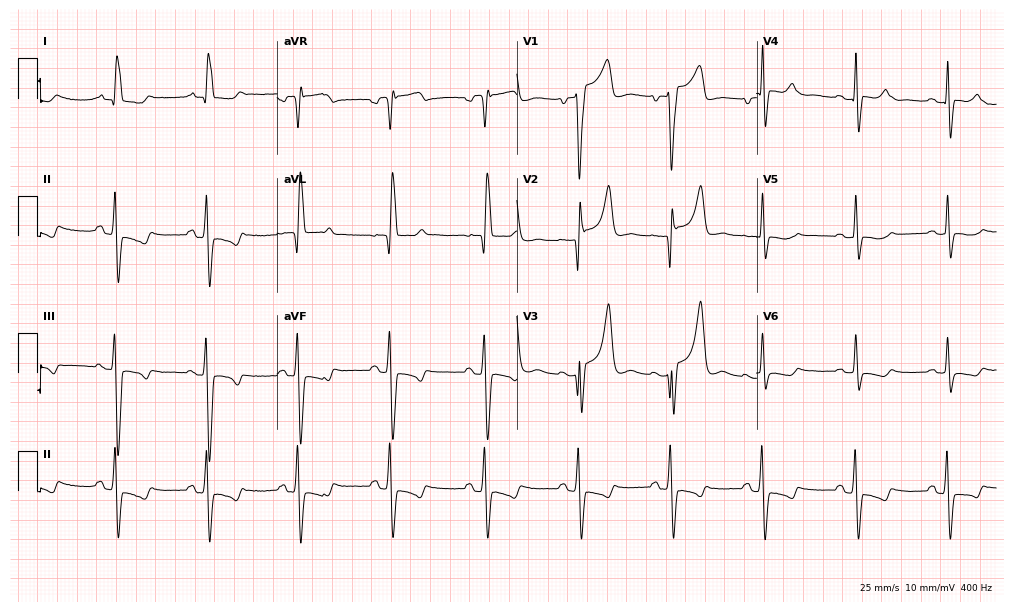
Electrocardiogram, an 82-year-old female patient. Interpretation includes right bundle branch block (RBBB).